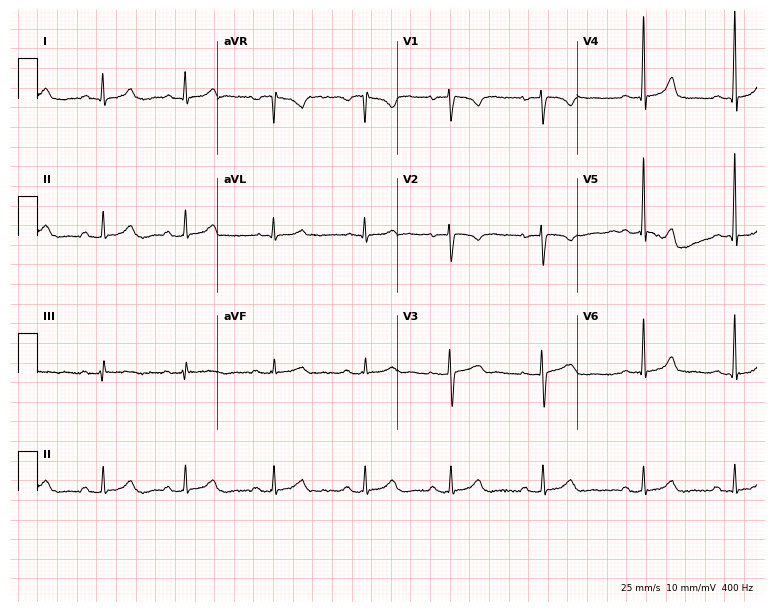
Standard 12-lead ECG recorded from a 33-year-old female patient (7.3-second recording at 400 Hz). Read as a normal ECG.